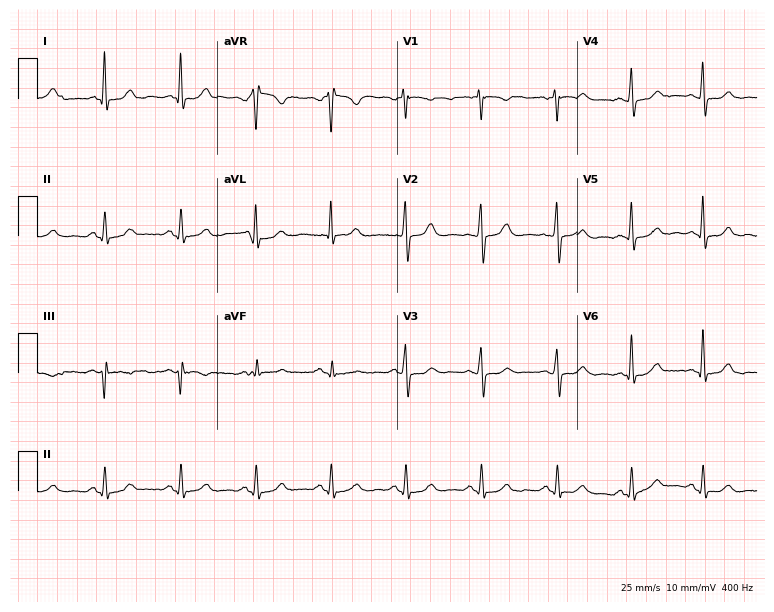
12-lead ECG from a female patient, 48 years old. Recorded interpretation: within normal limits.